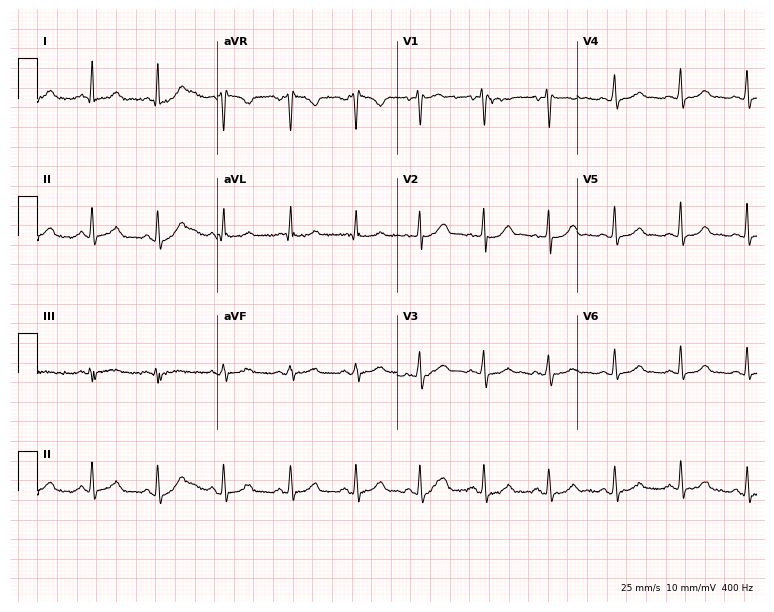
12-lead ECG (7.3-second recording at 400 Hz) from a 44-year-old woman. Labelled as a normal ECG.